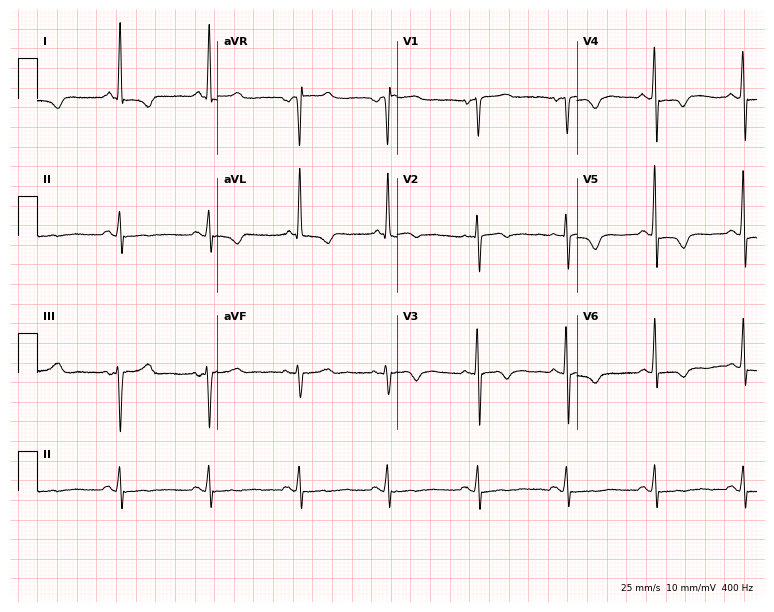
Electrocardiogram (7.3-second recording at 400 Hz), a 66-year-old female. Overall reading on record: normal ECG.